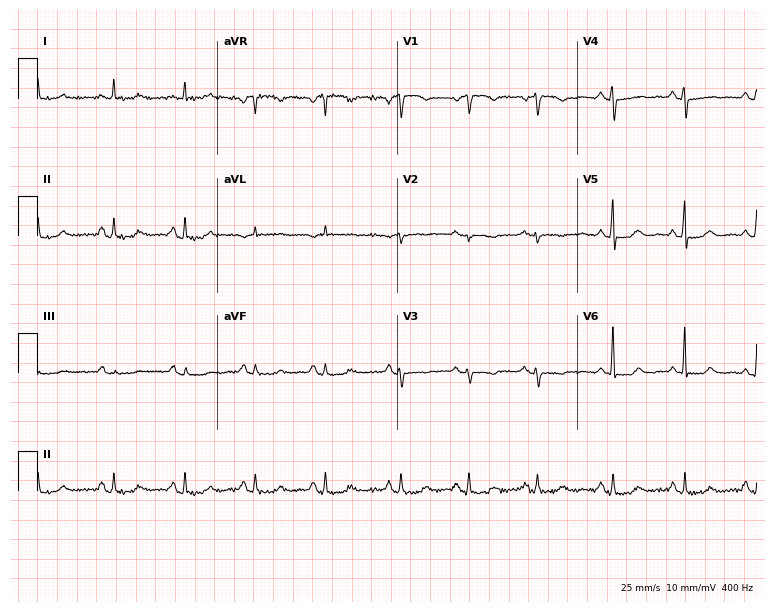
Resting 12-lead electrocardiogram. Patient: a 72-year-old woman. None of these six findings is recorded: first-degree AV block, right bundle branch block, left bundle branch block, sinus bradycardia, atrial fibrillation, sinus tachycardia.